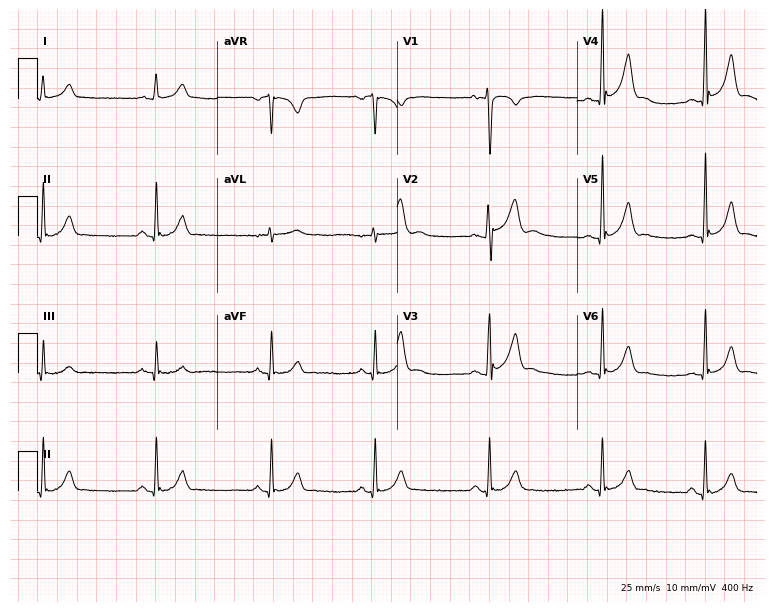
Electrocardiogram, a man, 17 years old. Overall reading on record: normal ECG.